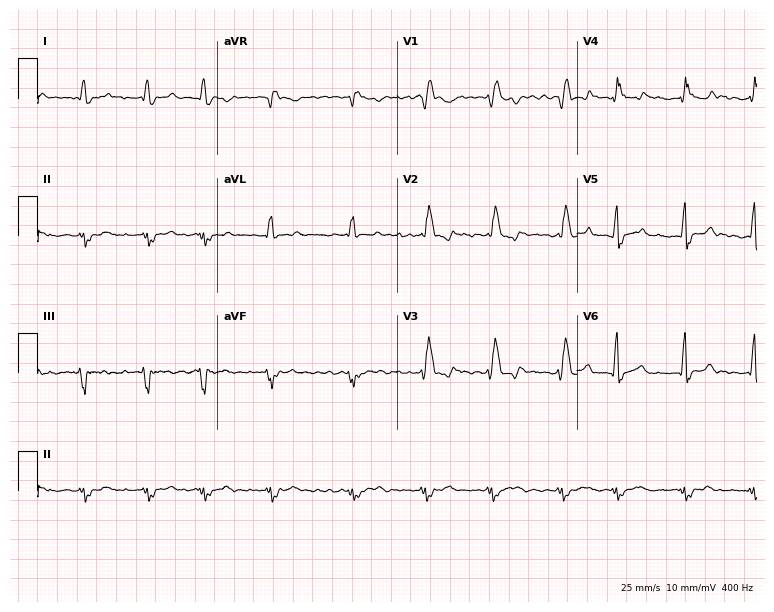
Standard 12-lead ECG recorded from a man, 58 years old. The tracing shows right bundle branch block (RBBB), atrial fibrillation (AF).